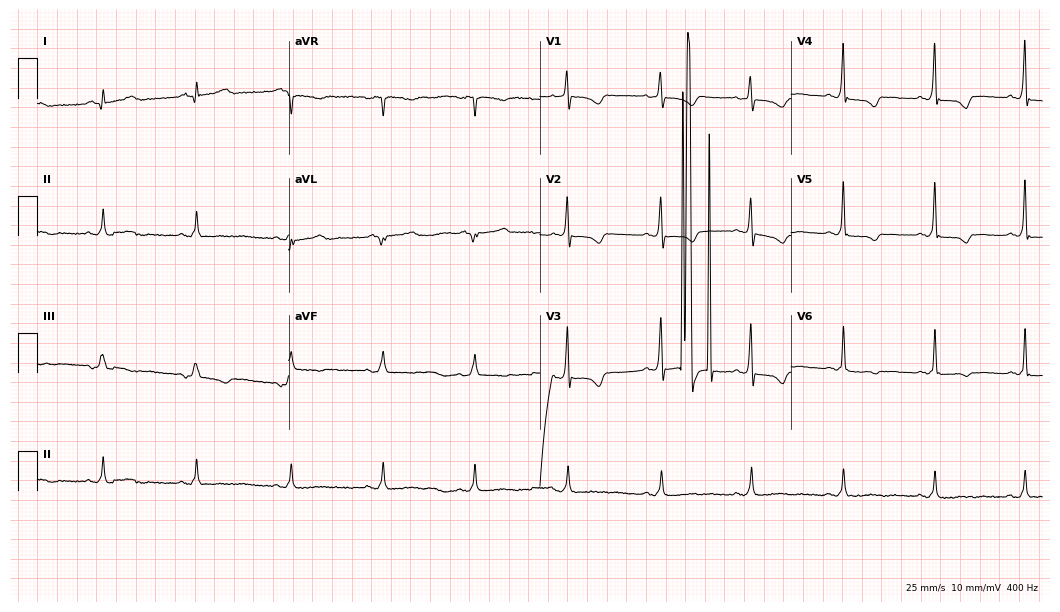
Standard 12-lead ECG recorded from a 73-year-old female. None of these six findings is recorded: first-degree AV block, right bundle branch block, left bundle branch block, sinus bradycardia, atrial fibrillation, sinus tachycardia.